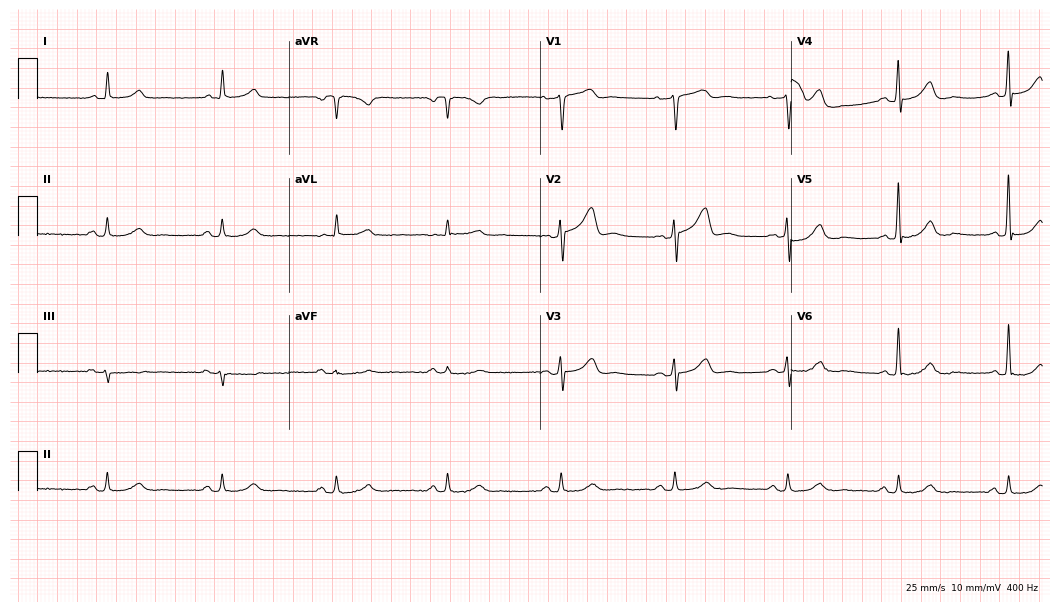
Electrocardiogram (10.2-second recording at 400 Hz), a male patient, 65 years old. Interpretation includes sinus bradycardia (a sinus rate of 50 beats per minute or less).